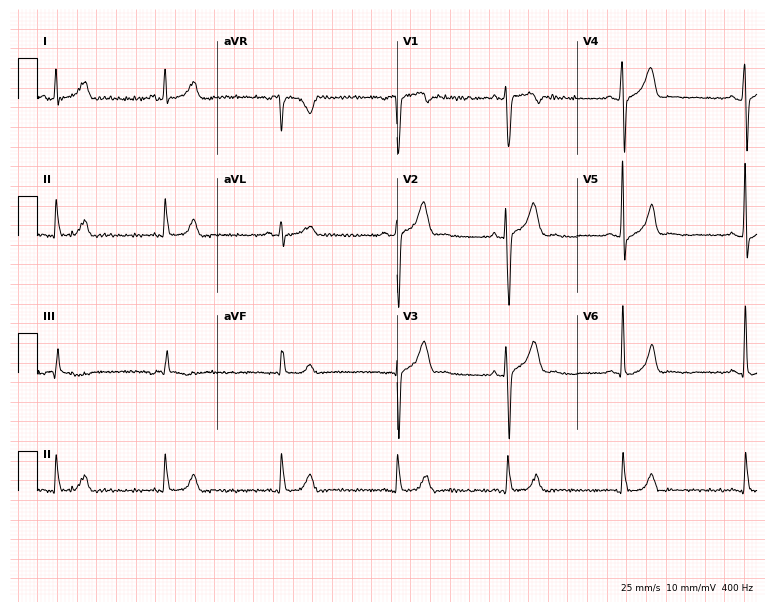
12-lead ECG (7.3-second recording at 400 Hz) from a 36-year-old male. Labelled as a normal ECG.